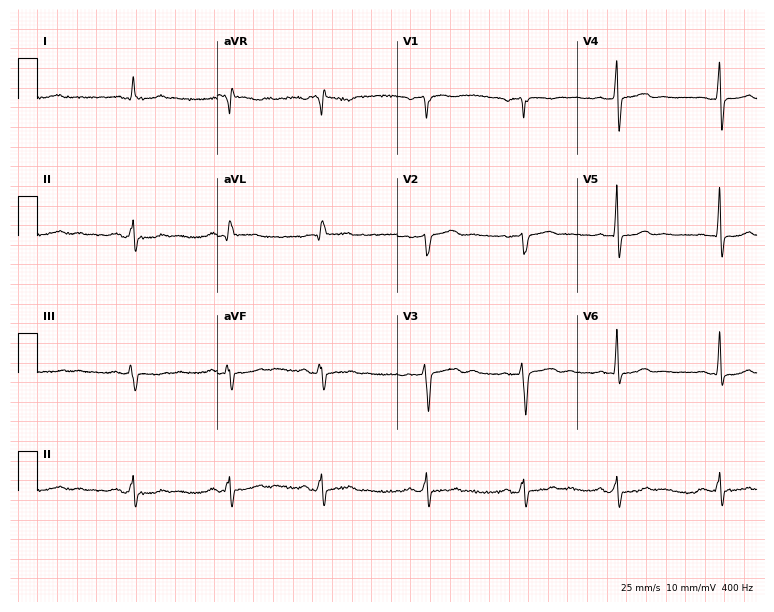
ECG — a man, 71 years old. Screened for six findings — first-degree AV block, right bundle branch block, left bundle branch block, sinus bradycardia, atrial fibrillation, sinus tachycardia — none is recorded. Only these six findings were labelled.